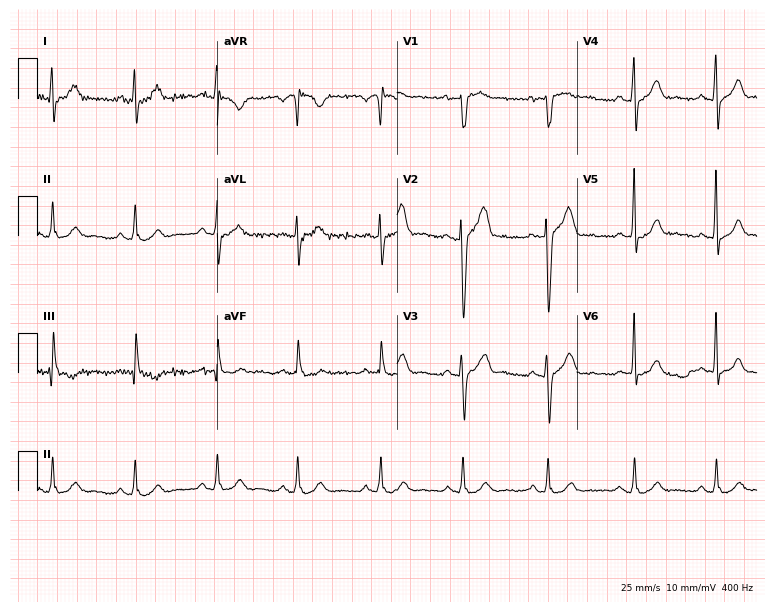
12-lead ECG from a male, 31 years old. Labelled as a normal ECG.